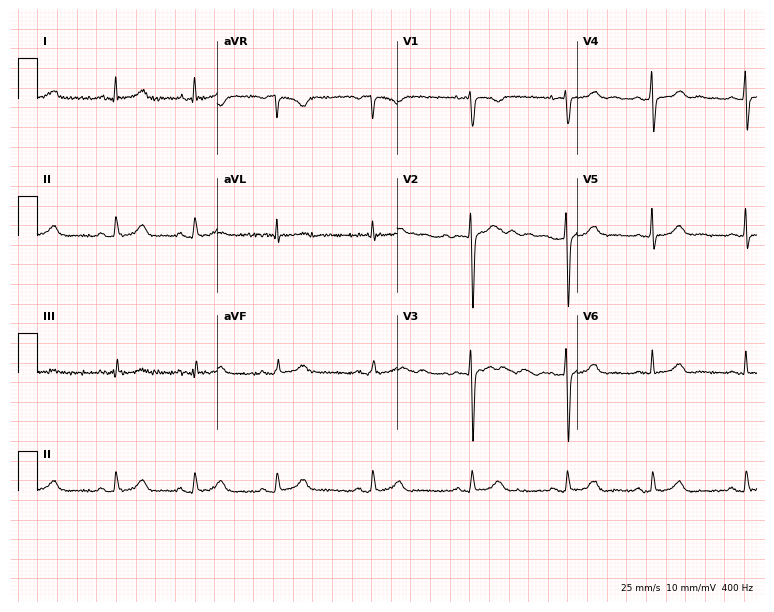
ECG — a 25-year-old woman. Labelled as a normal ECG.